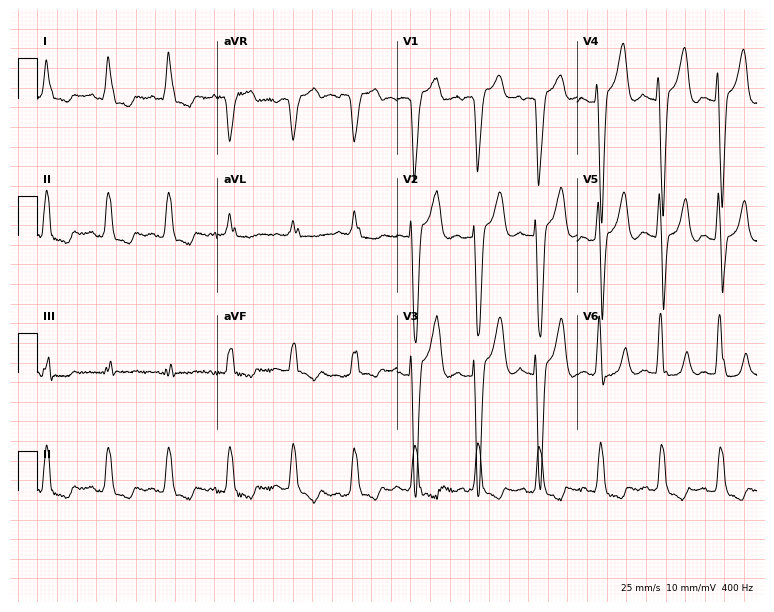
Standard 12-lead ECG recorded from a woman, 83 years old (7.3-second recording at 400 Hz). The tracing shows left bundle branch block.